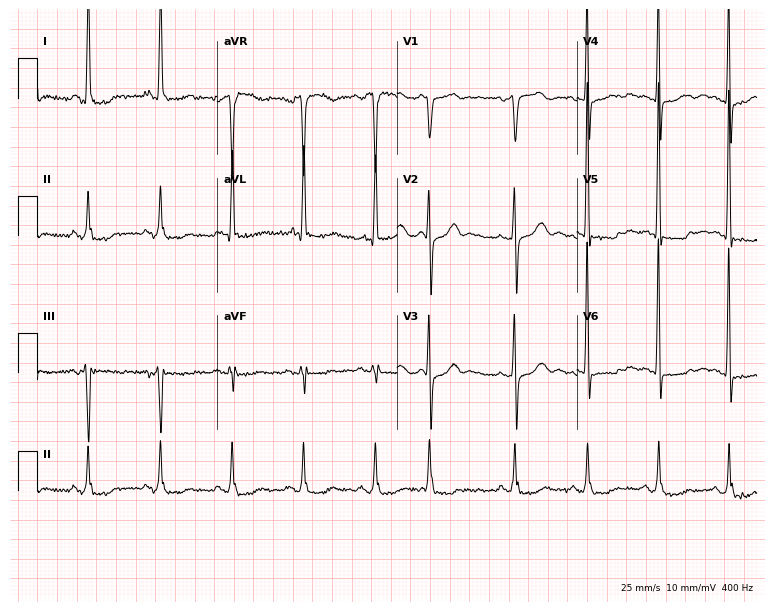
12-lead ECG from a female patient, 69 years old. No first-degree AV block, right bundle branch block (RBBB), left bundle branch block (LBBB), sinus bradycardia, atrial fibrillation (AF) or sinus tachycardia recorded for this tracing. Findings outside these six are not listed.